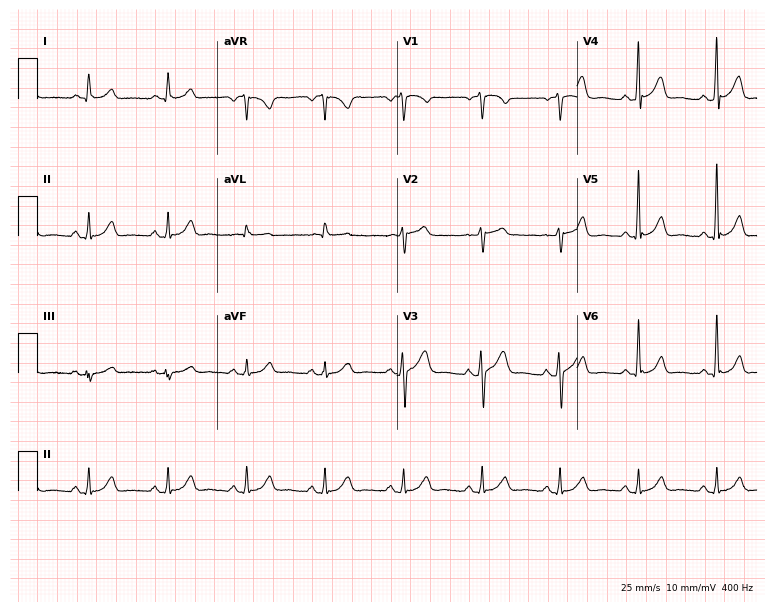
12-lead ECG from a male patient, 65 years old. Recorded interpretation: within normal limits.